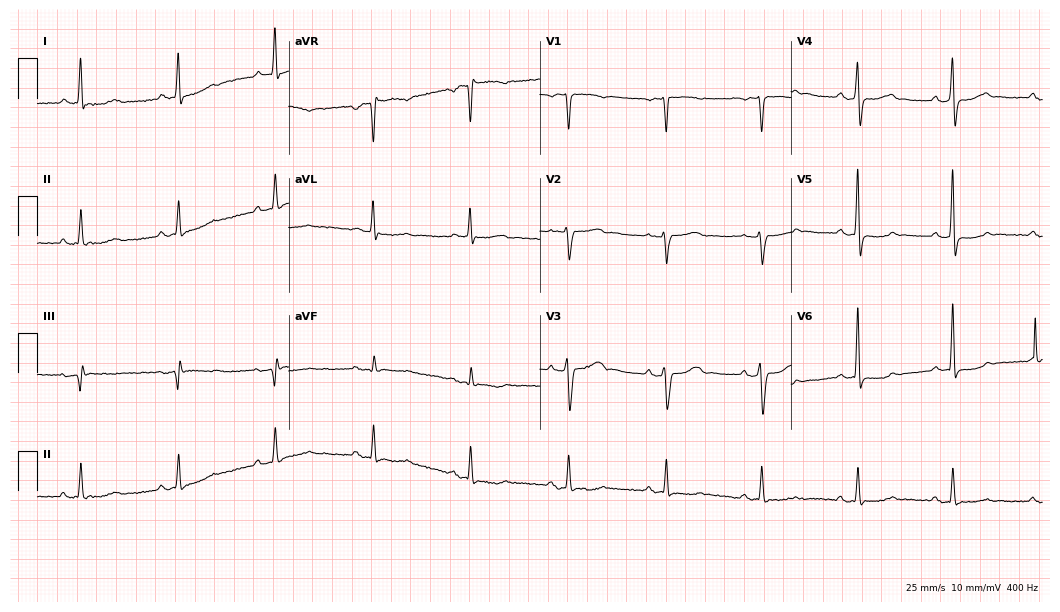
Resting 12-lead electrocardiogram (10.2-second recording at 400 Hz). Patient: a male, 79 years old. None of these six findings is recorded: first-degree AV block, right bundle branch block, left bundle branch block, sinus bradycardia, atrial fibrillation, sinus tachycardia.